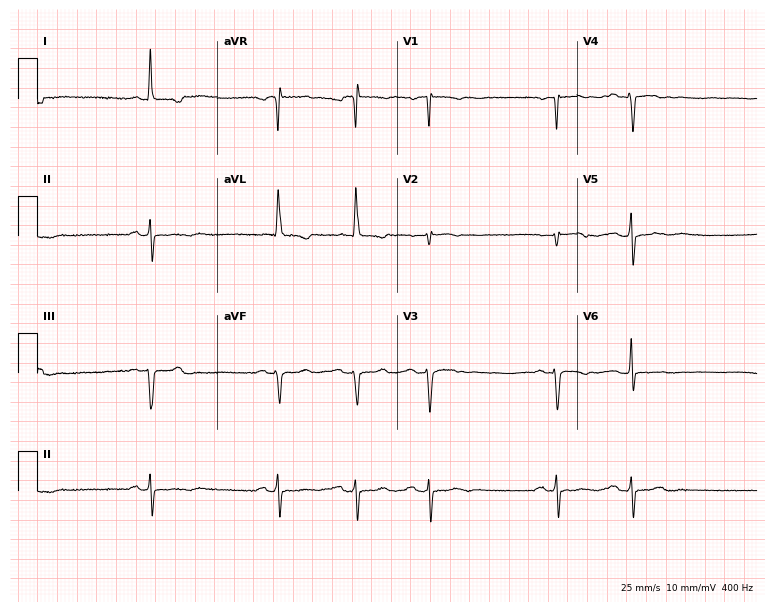
Resting 12-lead electrocardiogram. Patient: a woman, 76 years old. None of these six findings is recorded: first-degree AV block, right bundle branch block, left bundle branch block, sinus bradycardia, atrial fibrillation, sinus tachycardia.